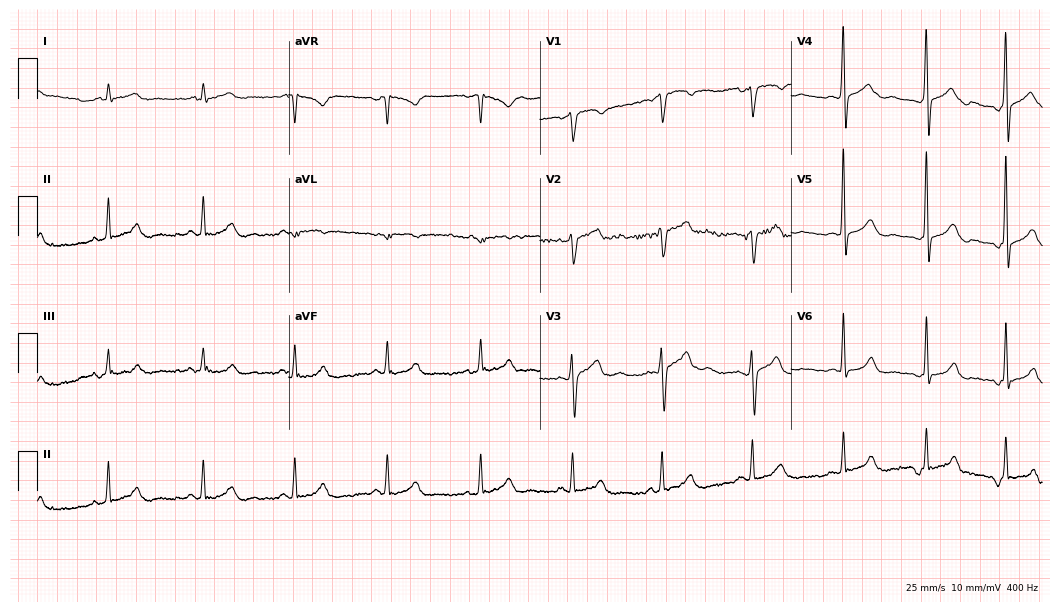
ECG — a male, 49 years old. Screened for six findings — first-degree AV block, right bundle branch block, left bundle branch block, sinus bradycardia, atrial fibrillation, sinus tachycardia — none is recorded.